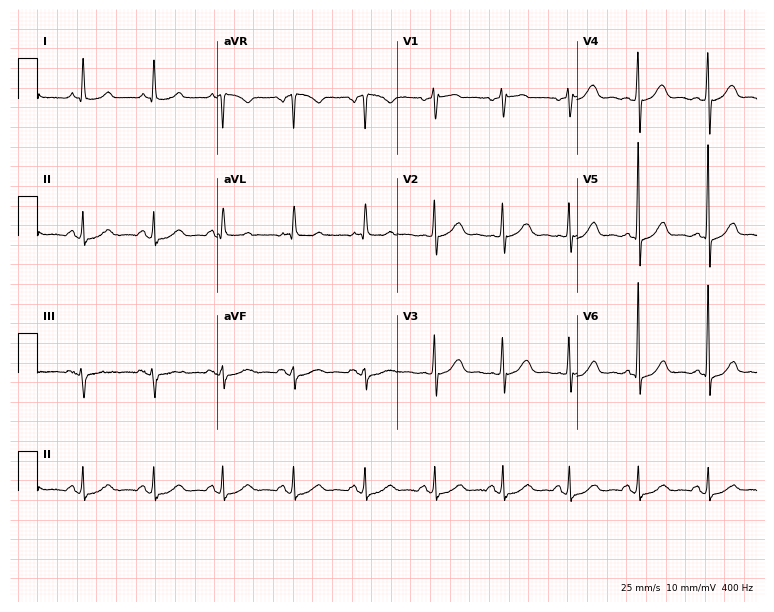
12-lead ECG (7.3-second recording at 400 Hz) from a female, 70 years old. Labelled as a normal ECG.